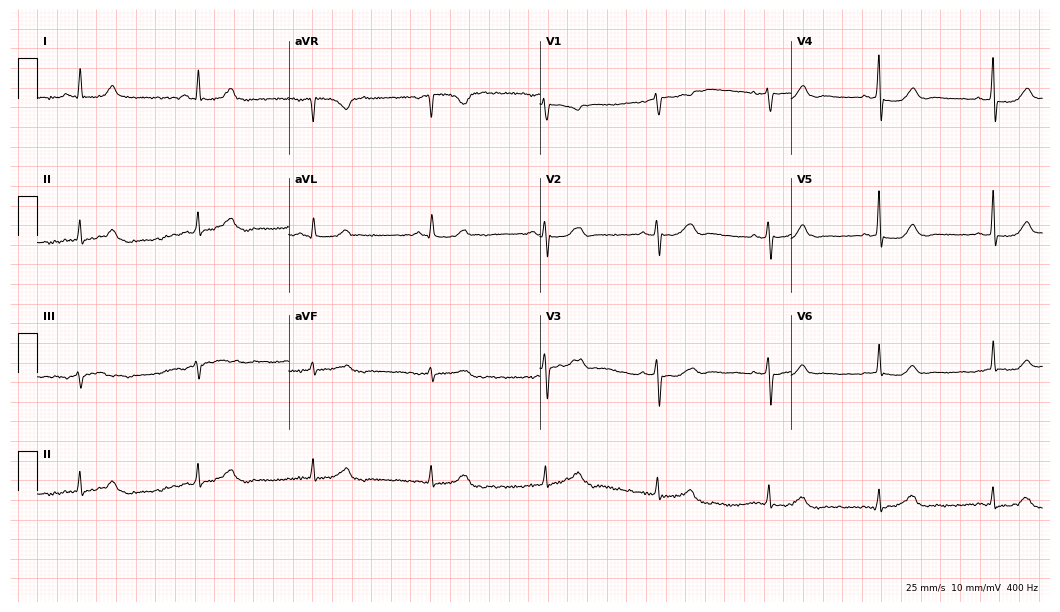
Standard 12-lead ECG recorded from a woman, 68 years old. Read as a normal ECG.